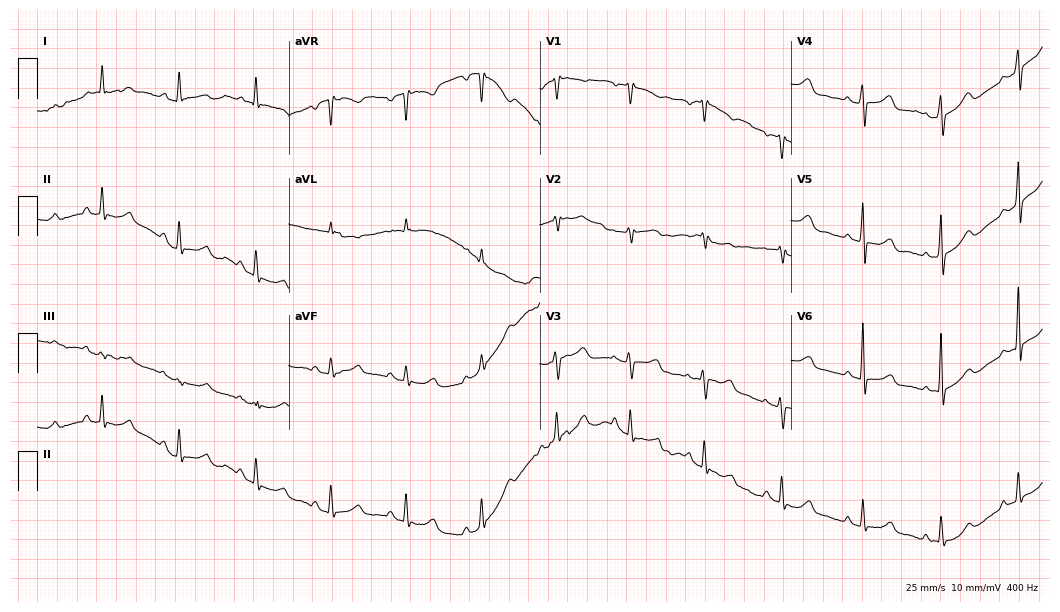
12-lead ECG from a female patient, 63 years old (10.2-second recording at 400 Hz). Recorded interpretation: within normal limits.